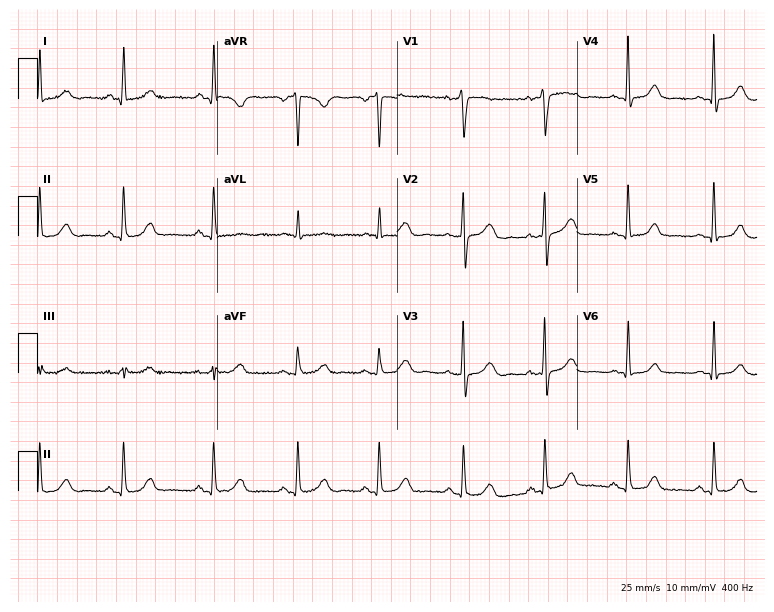
Electrocardiogram (7.3-second recording at 400 Hz), a 51-year-old female patient. Overall reading on record: normal ECG.